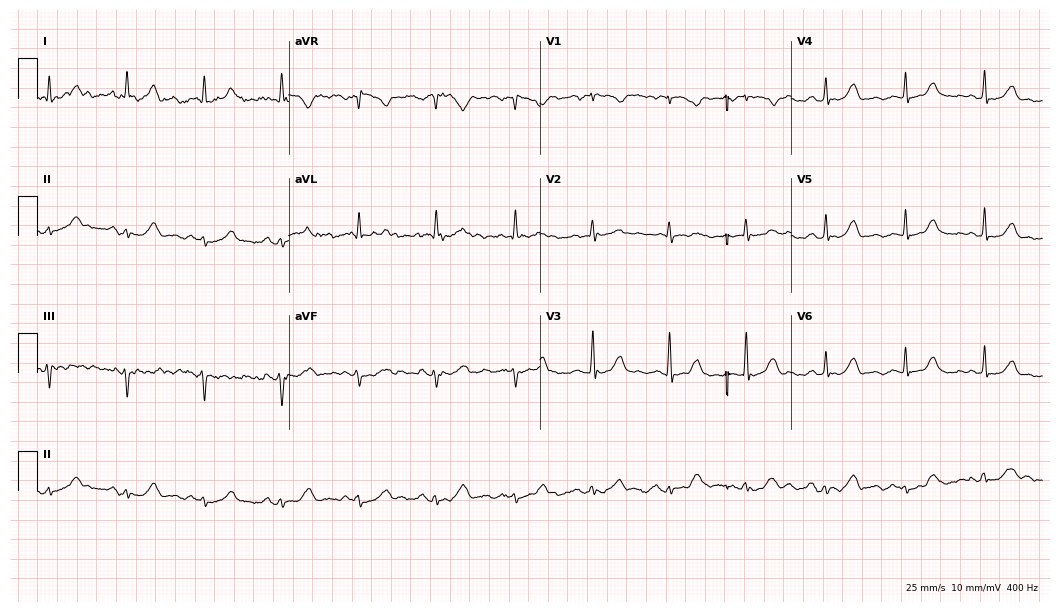
Electrocardiogram, a woman, 83 years old. Of the six screened findings (first-degree AV block, right bundle branch block, left bundle branch block, sinus bradycardia, atrial fibrillation, sinus tachycardia), none is recorded.